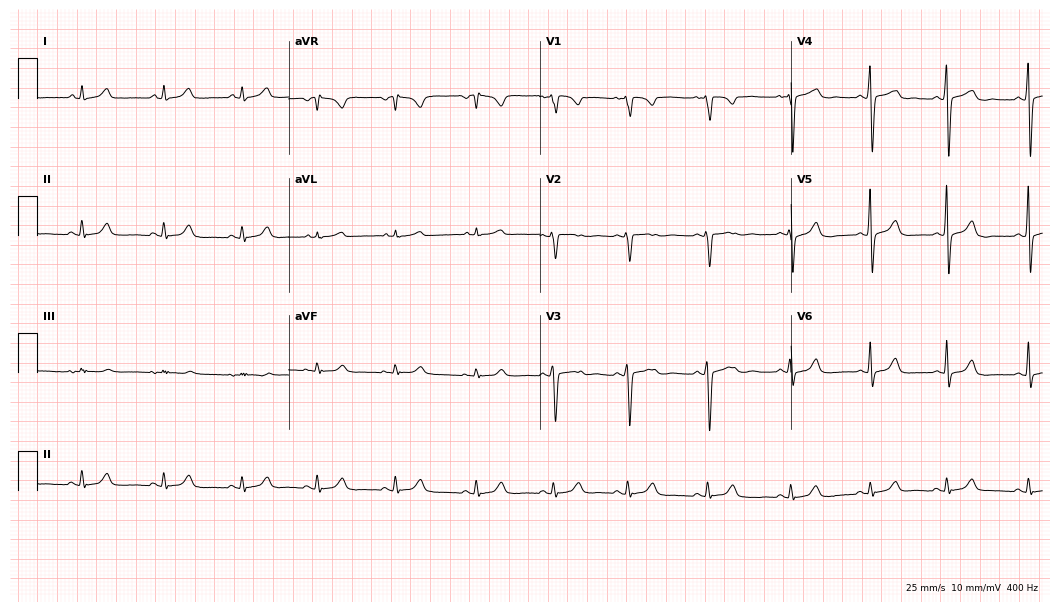
12-lead ECG from a 28-year-old female patient. No first-degree AV block, right bundle branch block, left bundle branch block, sinus bradycardia, atrial fibrillation or sinus tachycardia recorded for this tracing. Only these six findings were labelled.